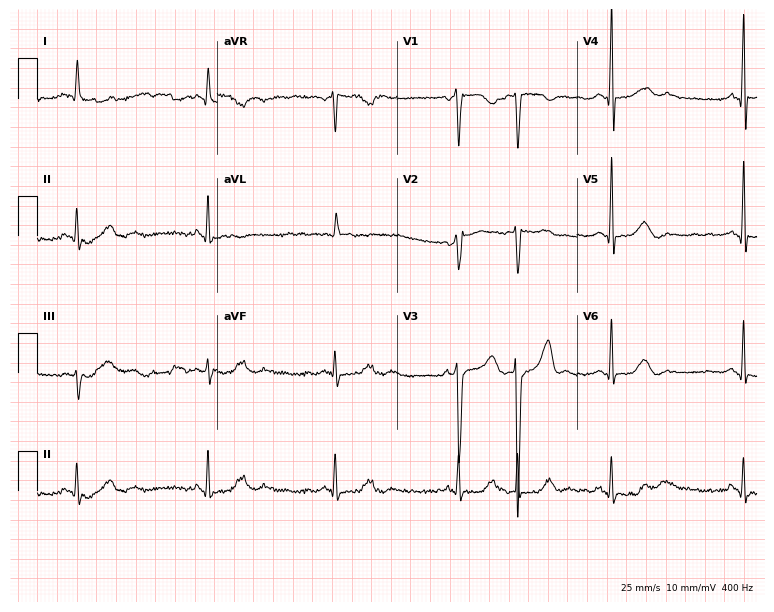
Electrocardiogram, an 81-year-old male. Interpretation includes sinus bradycardia (a sinus rate of 50 beats per minute or less).